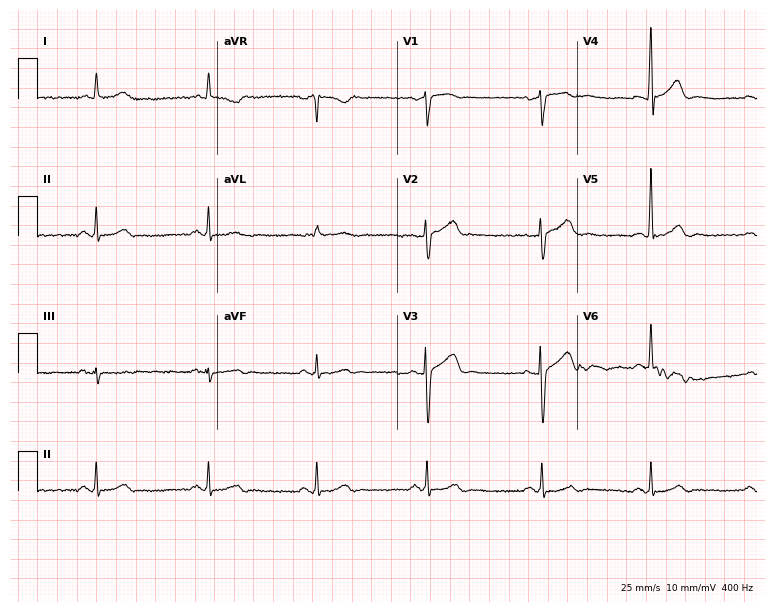
Electrocardiogram (7.3-second recording at 400 Hz), a male patient, 70 years old. Overall reading on record: normal ECG.